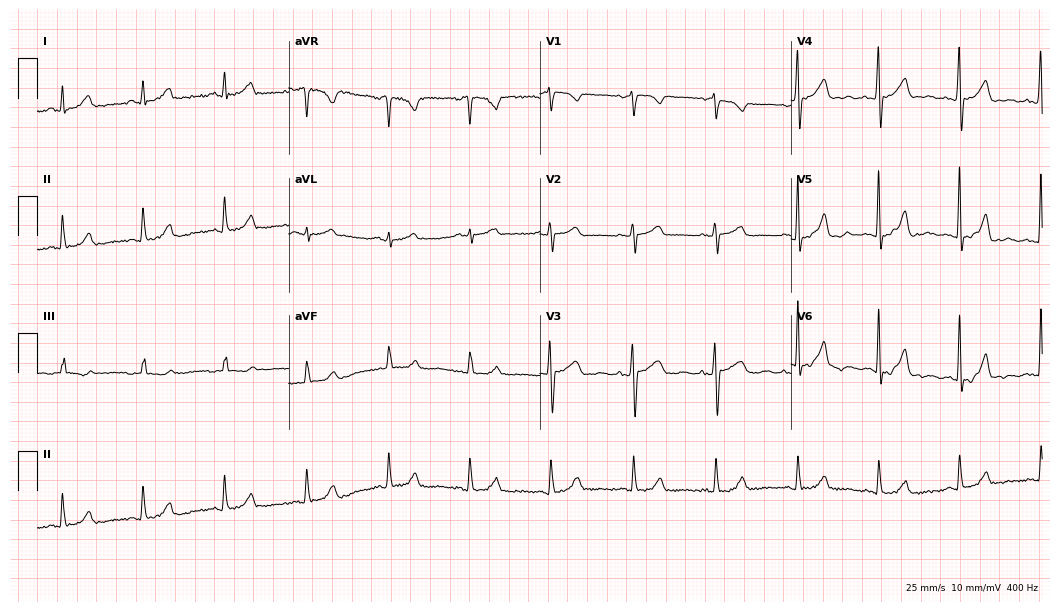
Electrocardiogram (10.2-second recording at 400 Hz), a female, 76 years old. Of the six screened findings (first-degree AV block, right bundle branch block, left bundle branch block, sinus bradycardia, atrial fibrillation, sinus tachycardia), none is recorded. Only these six findings were labelled.